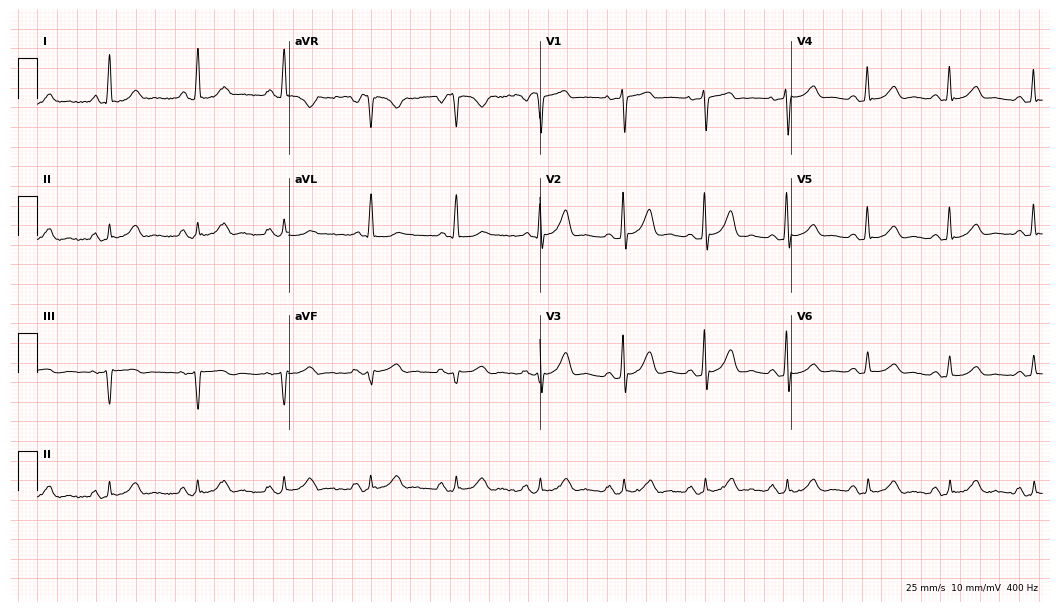
ECG (10.2-second recording at 400 Hz) — a male, 44 years old. Labelled as a normal ECG.